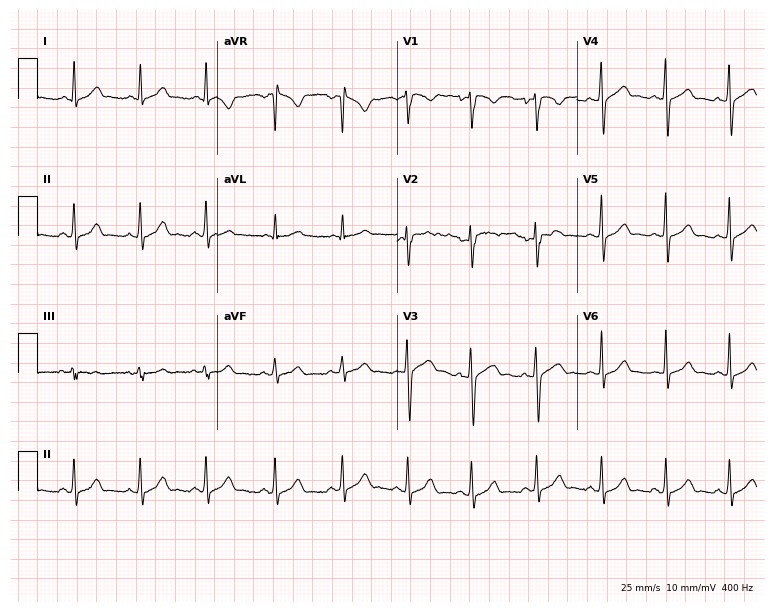
Standard 12-lead ECG recorded from a man, 26 years old (7.3-second recording at 400 Hz). Read as a normal ECG.